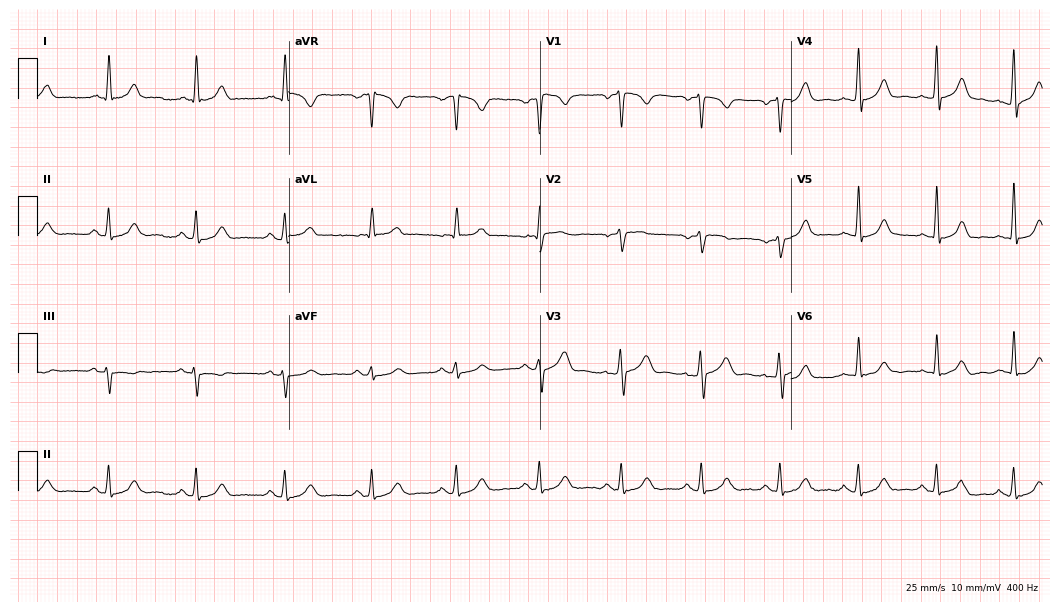
Electrocardiogram, a man, 59 years old. Overall reading on record: normal ECG.